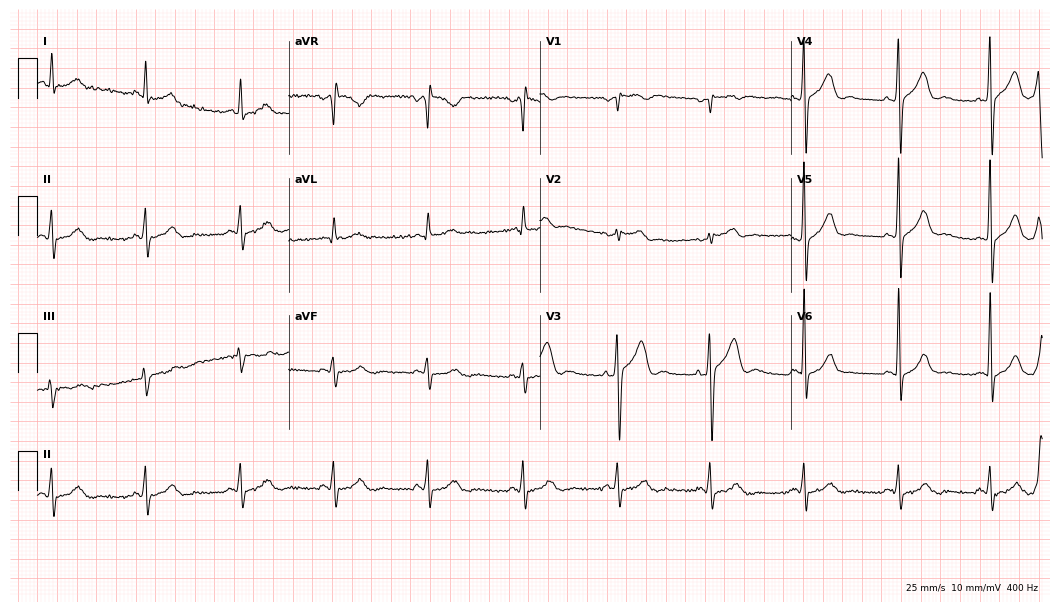
12-lead ECG from a 54-year-old man. Screened for six findings — first-degree AV block, right bundle branch block, left bundle branch block, sinus bradycardia, atrial fibrillation, sinus tachycardia — none is recorded.